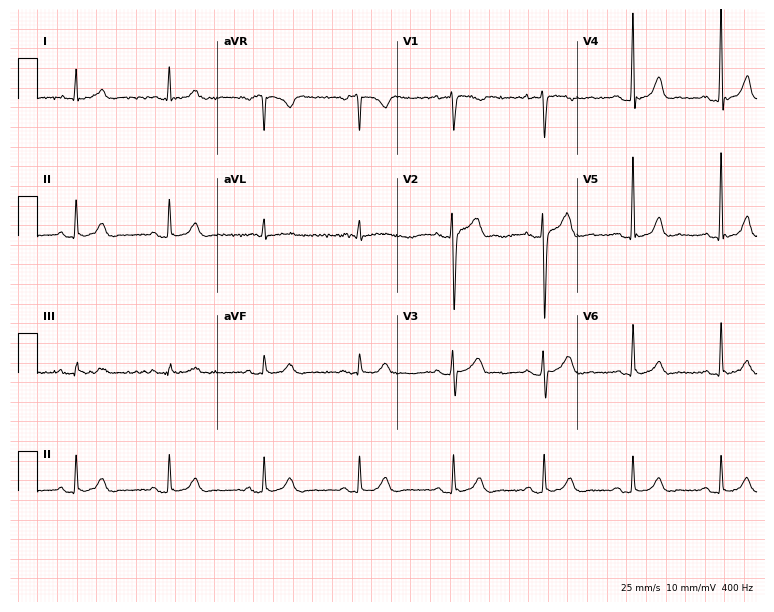
ECG (7.3-second recording at 400 Hz) — a 34-year-old male. Labelled as a normal ECG.